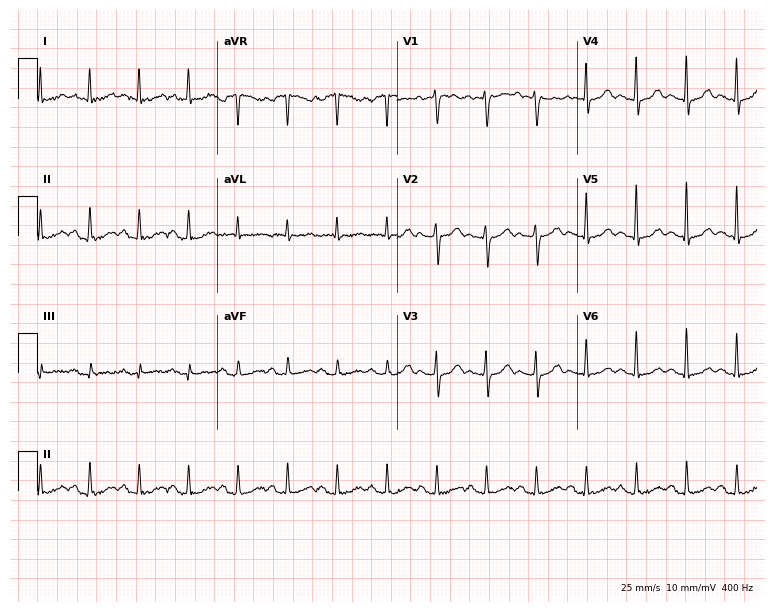
Resting 12-lead electrocardiogram. Patient: a female, 70 years old. The tracing shows sinus tachycardia (a sinus rate of 100 beats per minute or more).